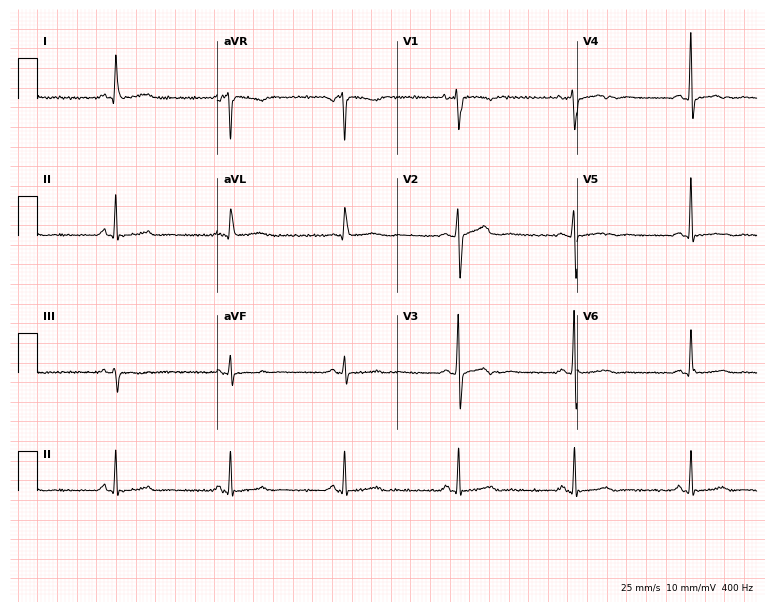
12-lead ECG from a 71-year-old man. Recorded interpretation: within normal limits.